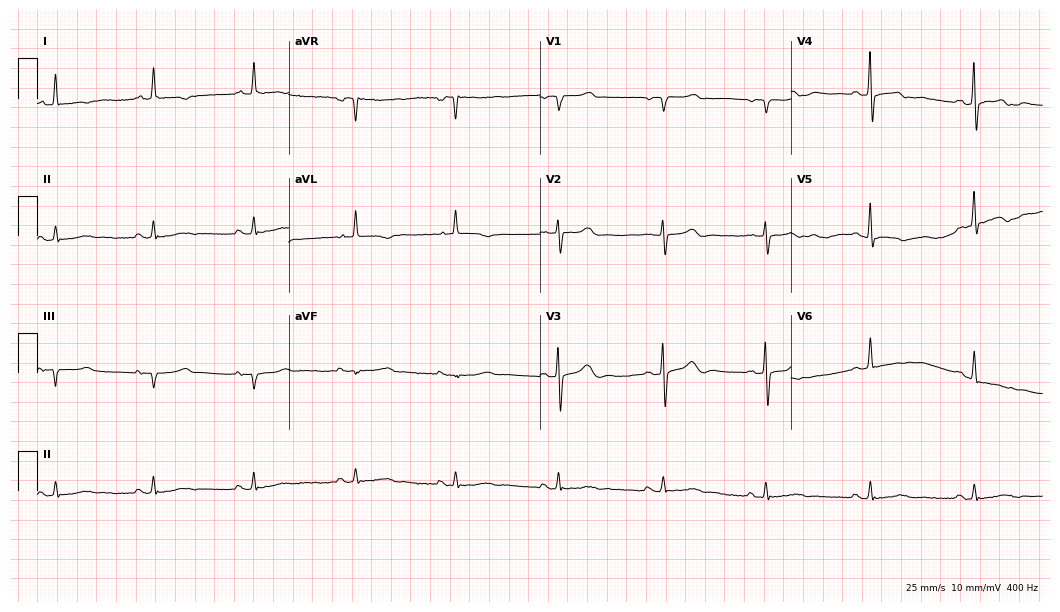
ECG — a female patient, 78 years old. Screened for six findings — first-degree AV block, right bundle branch block (RBBB), left bundle branch block (LBBB), sinus bradycardia, atrial fibrillation (AF), sinus tachycardia — none is recorded. Other findings, if any, are not listed.